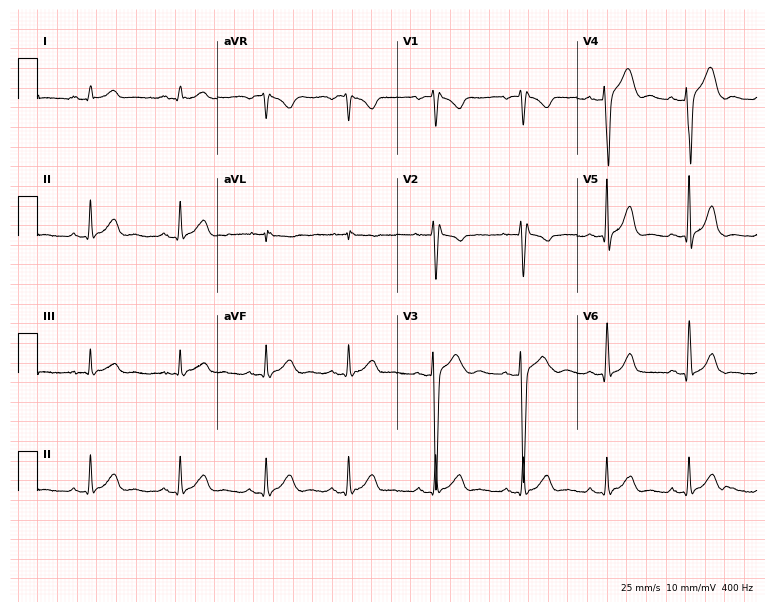
12-lead ECG from a 21-year-old male (7.3-second recording at 400 Hz). No first-degree AV block, right bundle branch block, left bundle branch block, sinus bradycardia, atrial fibrillation or sinus tachycardia recorded for this tracing. Other findings, if any, are not listed.